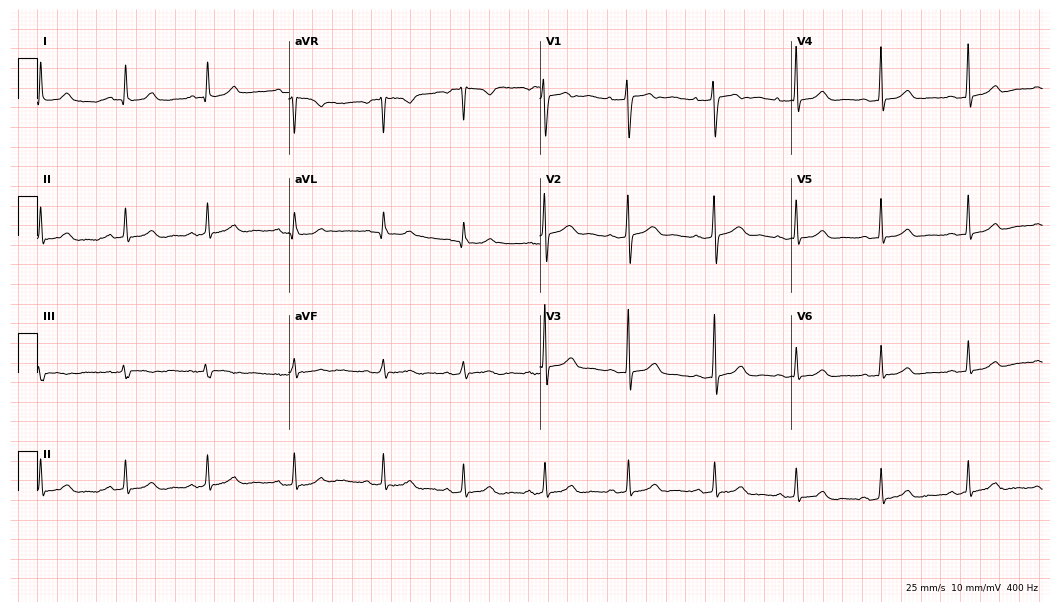
12-lead ECG from a woman, 18 years old (10.2-second recording at 400 Hz). Recorded interpretation: within normal limits.